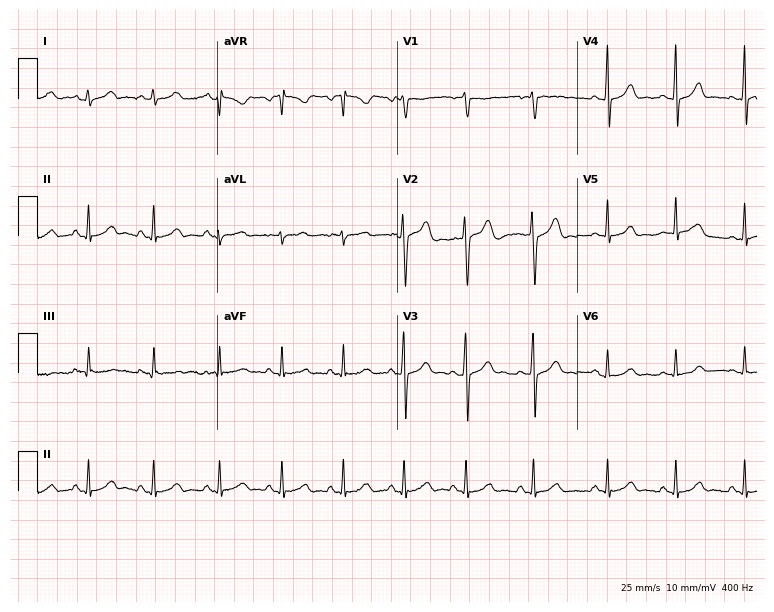
Electrocardiogram (7.3-second recording at 400 Hz), a 19-year-old female patient. Overall reading on record: normal ECG.